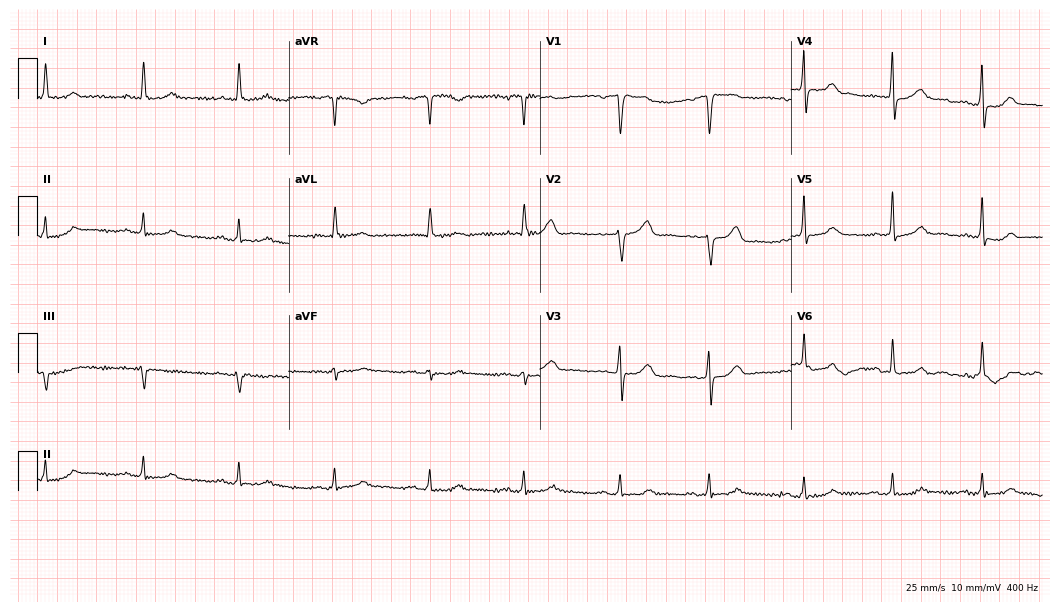
Standard 12-lead ECG recorded from a female, 54 years old (10.2-second recording at 400 Hz). Read as a normal ECG.